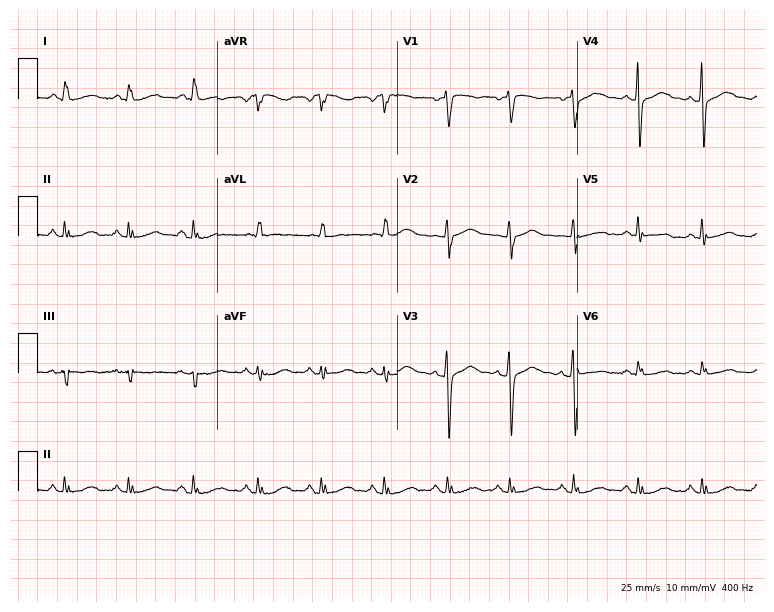
Resting 12-lead electrocardiogram. Patient: a 66-year-old female. Read as a normal ECG.